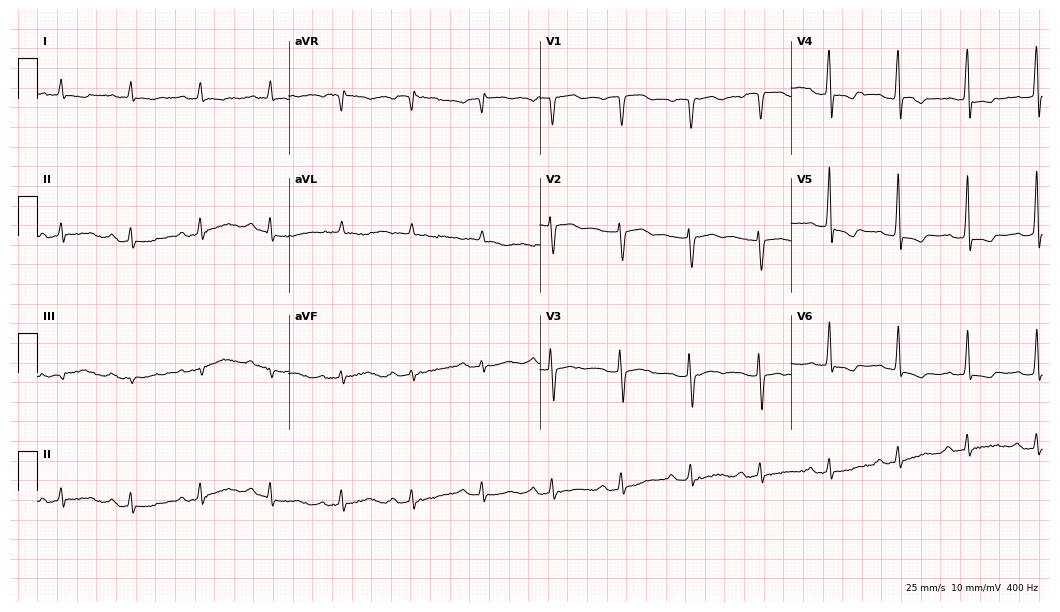
Resting 12-lead electrocardiogram. Patient: a female, 85 years old. None of these six findings is recorded: first-degree AV block, right bundle branch block, left bundle branch block, sinus bradycardia, atrial fibrillation, sinus tachycardia.